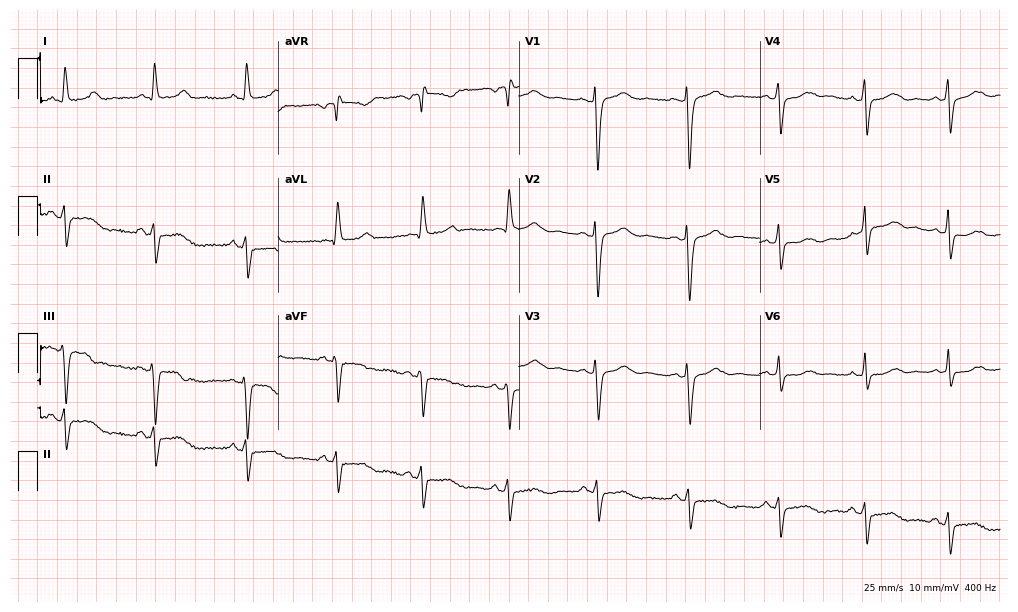
ECG (9.8-second recording at 400 Hz) — a female, 64 years old. Screened for six findings — first-degree AV block, right bundle branch block (RBBB), left bundle branch block (LBBB), sinus bradycardia, atrial fibrillation (AF), sinus tachycardia — none is recorded.